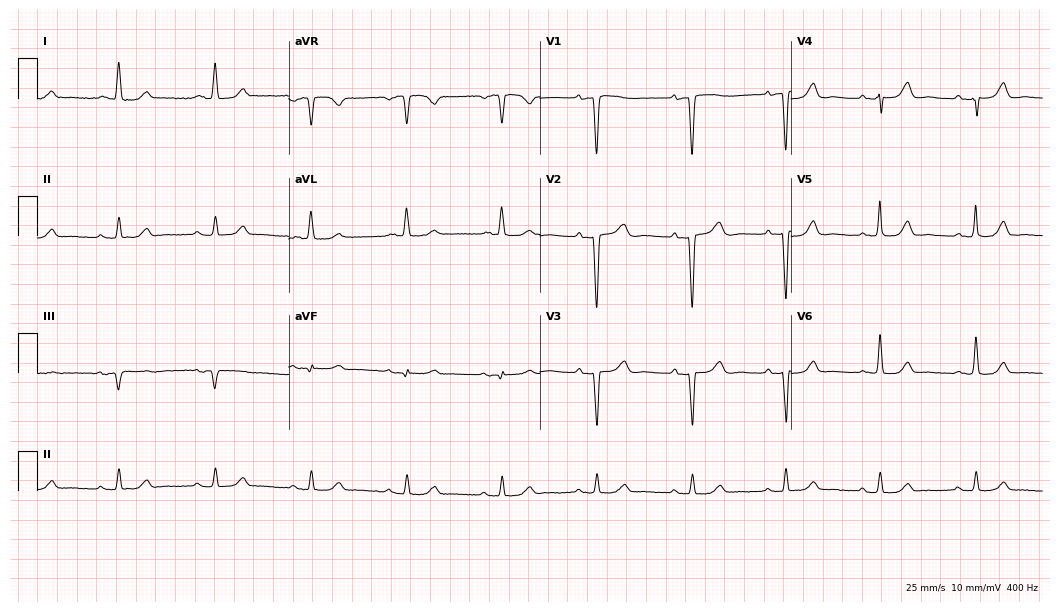
Electrocardiogram (10.2-second recording at 400 Hz), a female patient, 66 years old. Of the six screened findings (first-degree AV block, right bundle branch block (RBBB), left bundle branch block (LBBB), sinus bradycardia, atrial fibrillation (AF), sinus tachycardia), none is recorded.